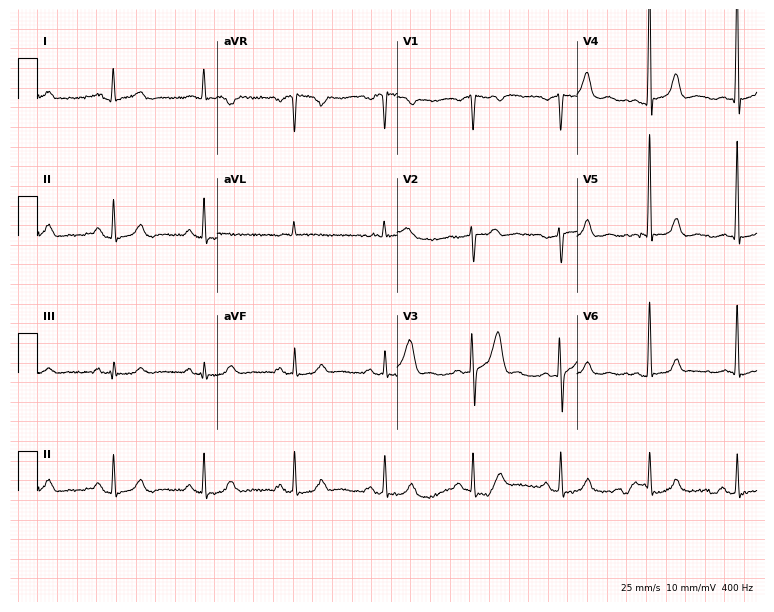
ECG (7.3-second recording at 400 Hz) — a male patient, 62 years old. Labelled as a normal ECG.